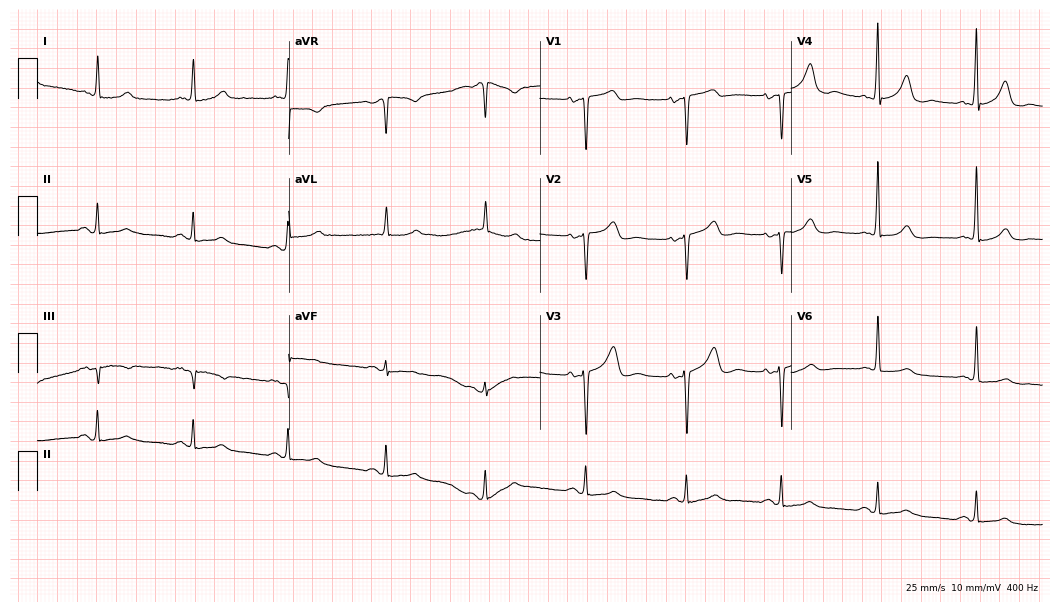
12-lead ECG from an 80-year-old female. Screened for six findings — first-degree AV block, right bundle branch block (RBBB), left bundle branch block (LBBB), sinus bradycardia, atrial fibrillation (AF), sinus tachycardia — none is recorded. Other findings, if any, are not listed.